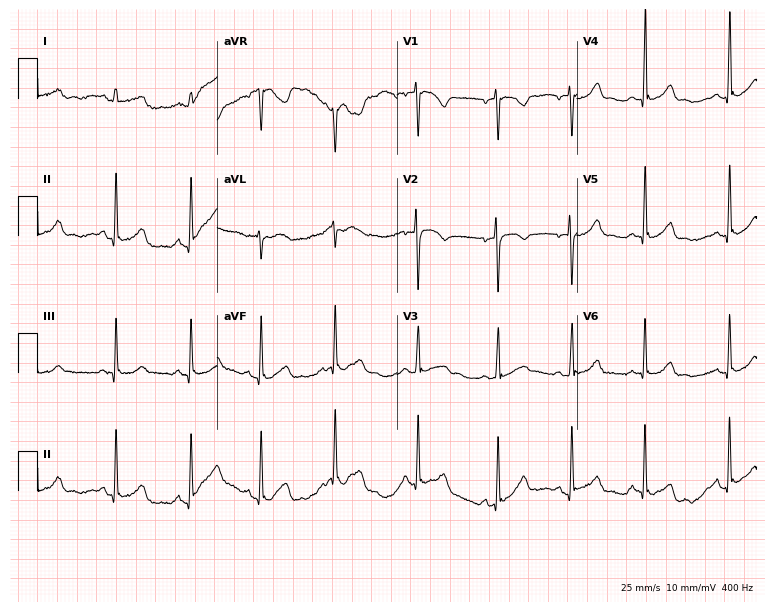
Electrocardiogram, a 23-year-old female. Of the six screened findings (first-degree AV block, right bundle branch block, left bundle branch block, sinus bradycardia, atrial fibrillation, sinus tachycardia), none is recorded. Other findings, if any, are not listed.